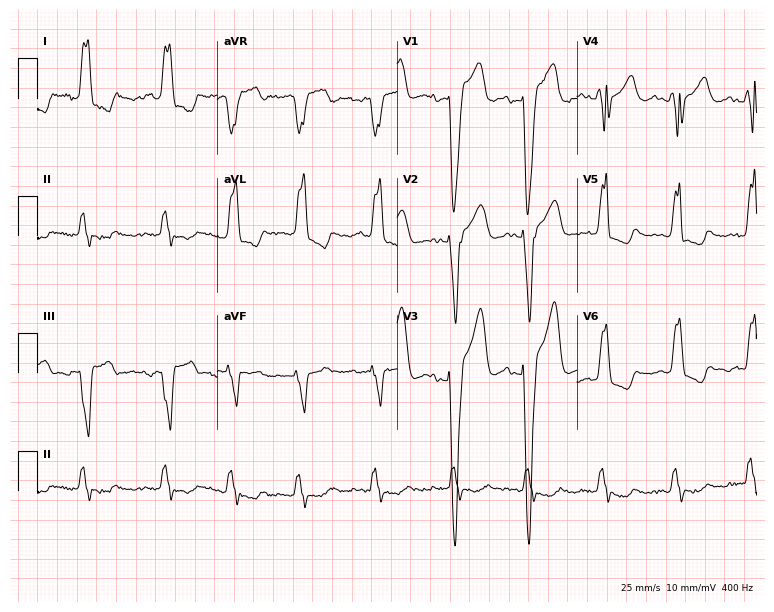
Electrocardiogram, a man, 77 years old. Interpretation includes left bundle branch block.